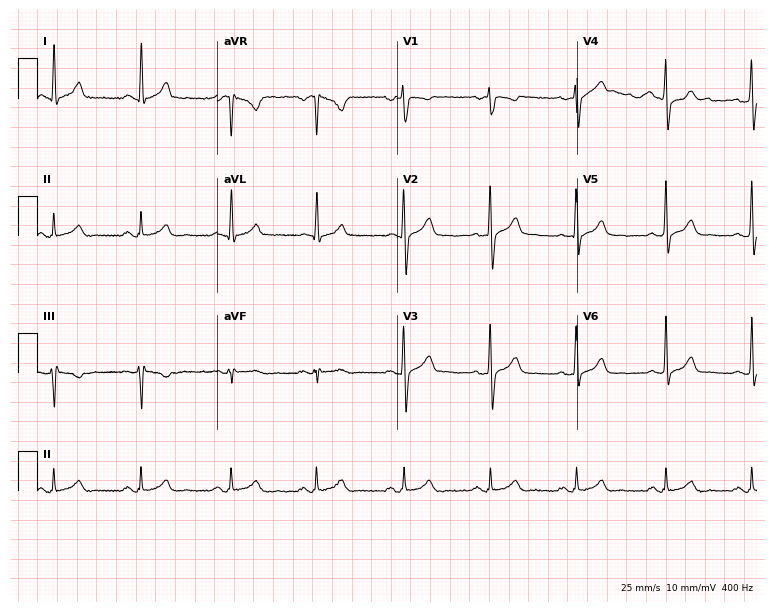
12-lead ECG from a 31-year-old man. Recorded interpretation: within normal limits.